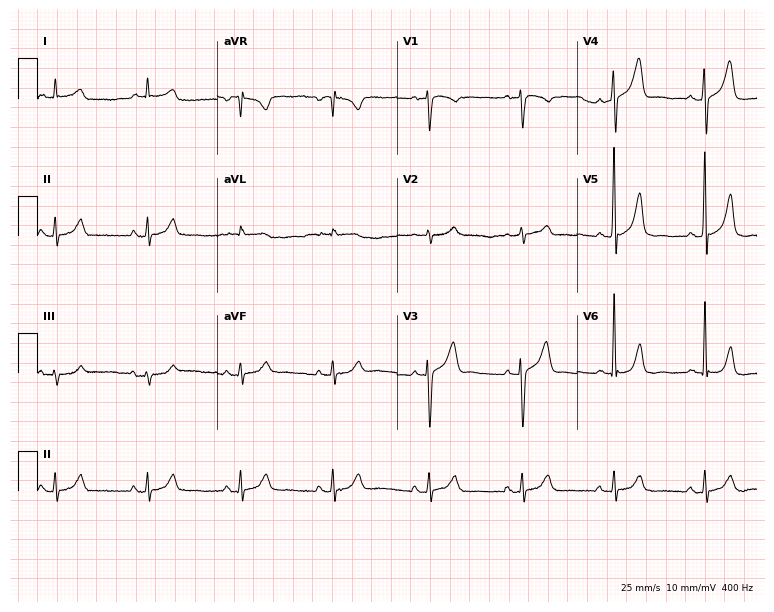
12-lead ECG from a man, 76 years old. Screened for six findings — first-degree AV block, right bundle branch block, left bundle branch block, sinus bradycardia, atrial fibrillation, sinus tachycardia — none is recorded. Other findings, if any, are not listed.